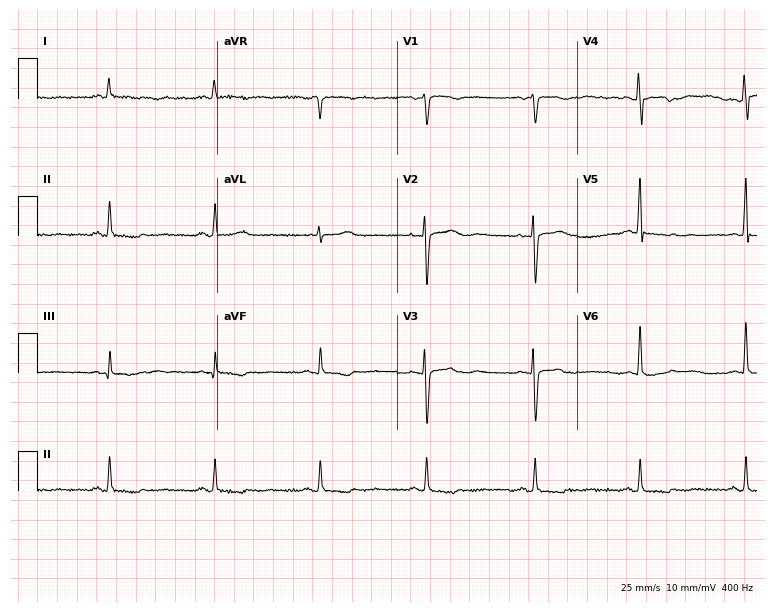
12-lead ECG from a 53-year-old female (7.3-second recording at 400 Hz). No first-degree AV block, right bundle branch block, left bundle branch block, sinus bradycardia, atrial fibrillation or sinus tachycardia recorded for this tracing. Only these six findings were labelled.